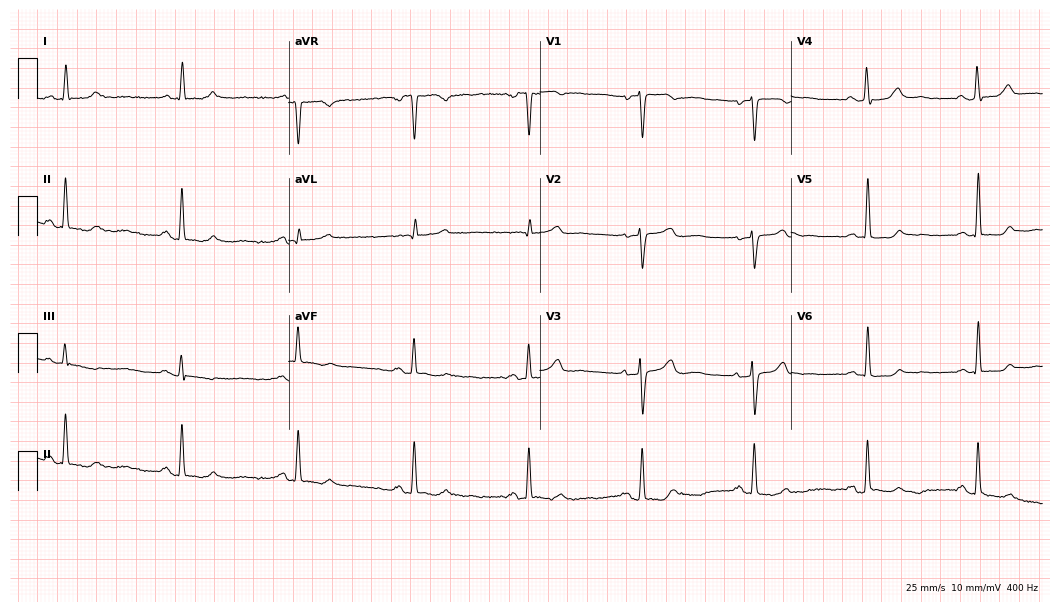
12-lead ECG from a 53-year-old female. Recorded interpretation: within normal limits.